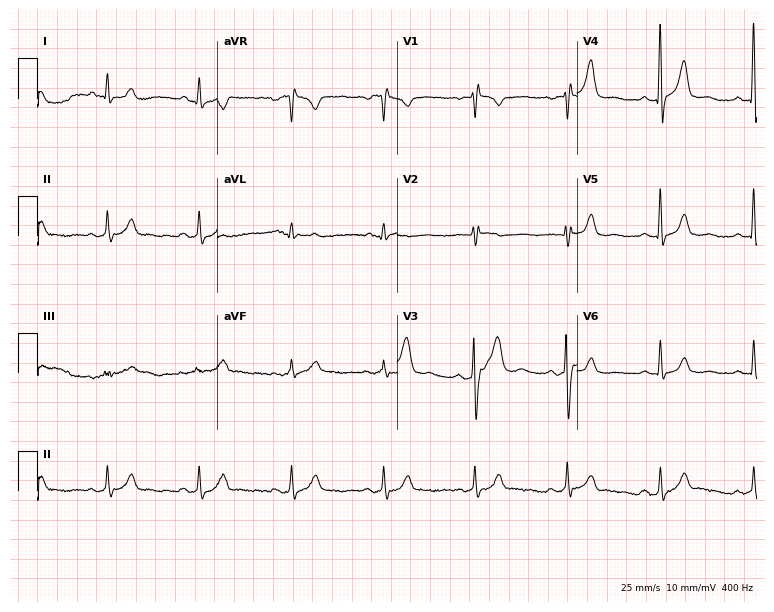
Electrocardiogram (7.3-second recording at 400 Hz), a male, 41 years old. Of the six screened findings (first-degree AV block, right bundle branch block, left bundle branch block, sinus bradycardia, atrial fibrillation, sinus tachycardia), none is recorded. Findings outside these six are not listed.